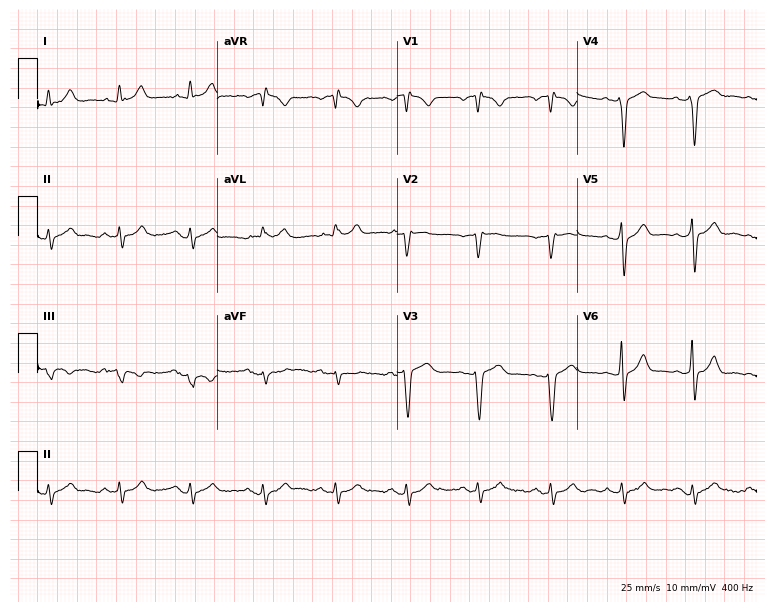
ECG — a 74-year-old male. Screened for six findings — first-degree AV block, right bundle branch block, left bundle branch block, sinus bradycardia, atrial fibrillation, sinus tachycardia — none is recorded. Findings outside these six are not listed.